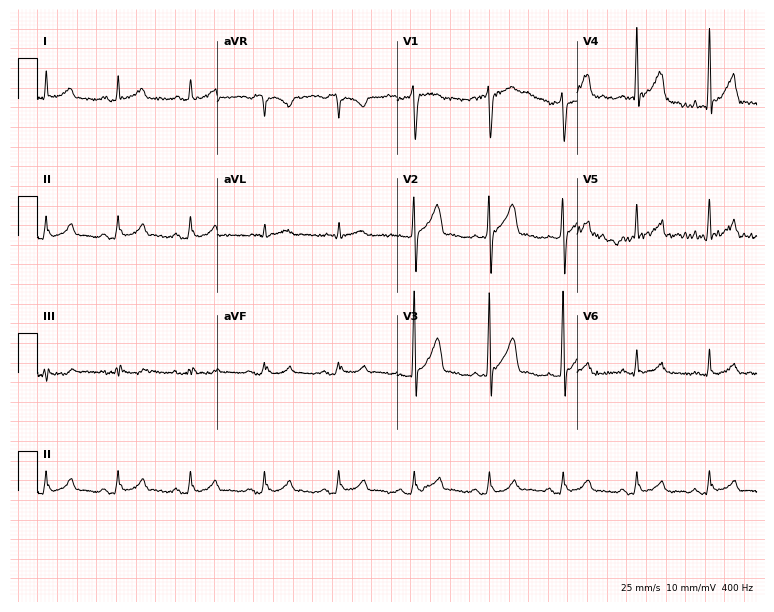
Resting 12-lead electrocardiogram (7.3-second recording at 400 Hz). Patient: a 69-year-old male. None of these six findings is recorded: first-degree AV block, right bundle branch block, left bundle branch block, sinus bradycardia, atrial fibrillation, sinus tachycardia.